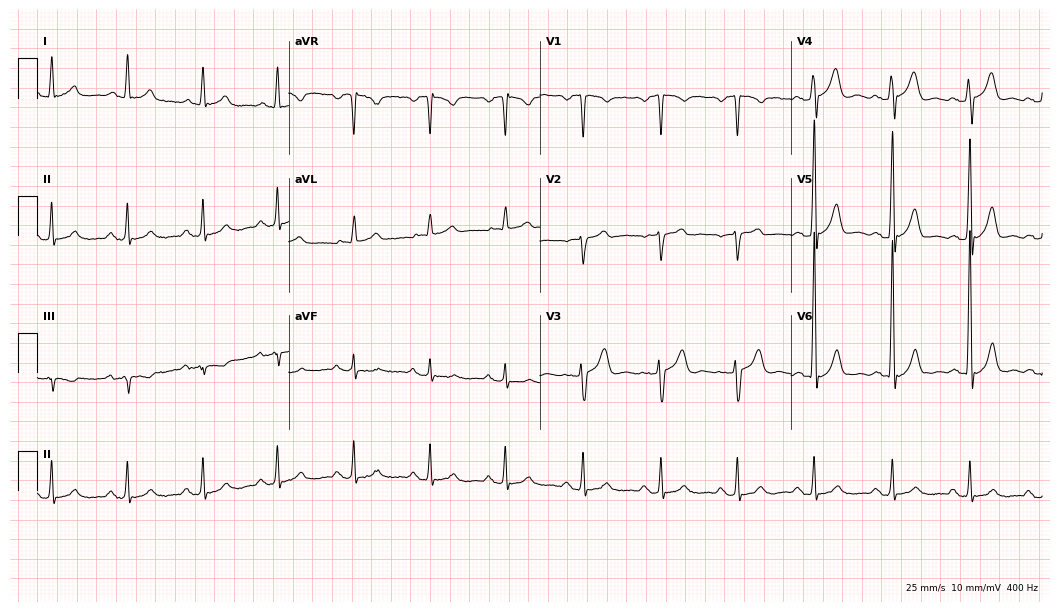
Standard 12-lead ECG recorded from a 73-year-old man. None of these six findings is recorded: first-degree AV block, right bundle branch block, left bundle branch block, sinus bradycardia, atrial fibrillation, sinus tachycardia. Other findings, if any, are not listed.